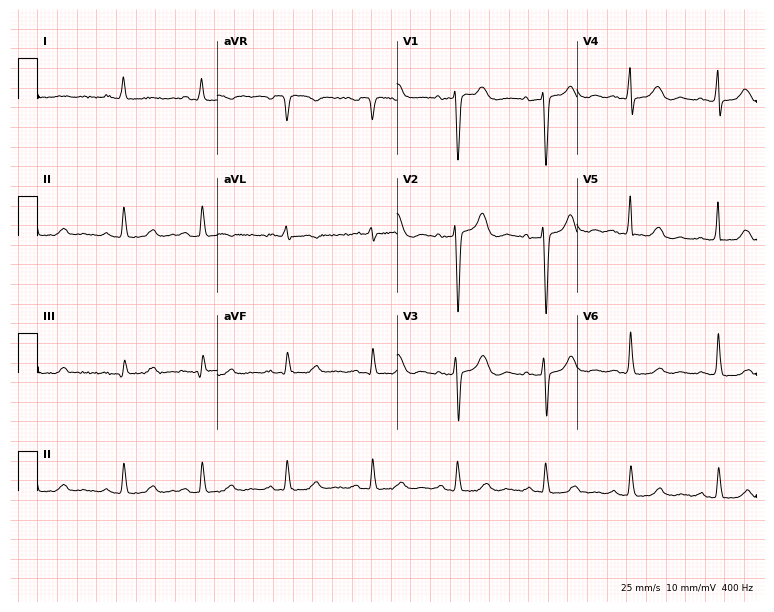
Standard 12-lead ECG recorded from a 57-year-old female patient (7.3-second recording at 400 Hz). None of these six findings is recorded: first-degree AV block, right bundle branch block, left bundle branch block, sinus bradycardia, atrial fibrillation, sinus tachycardia.